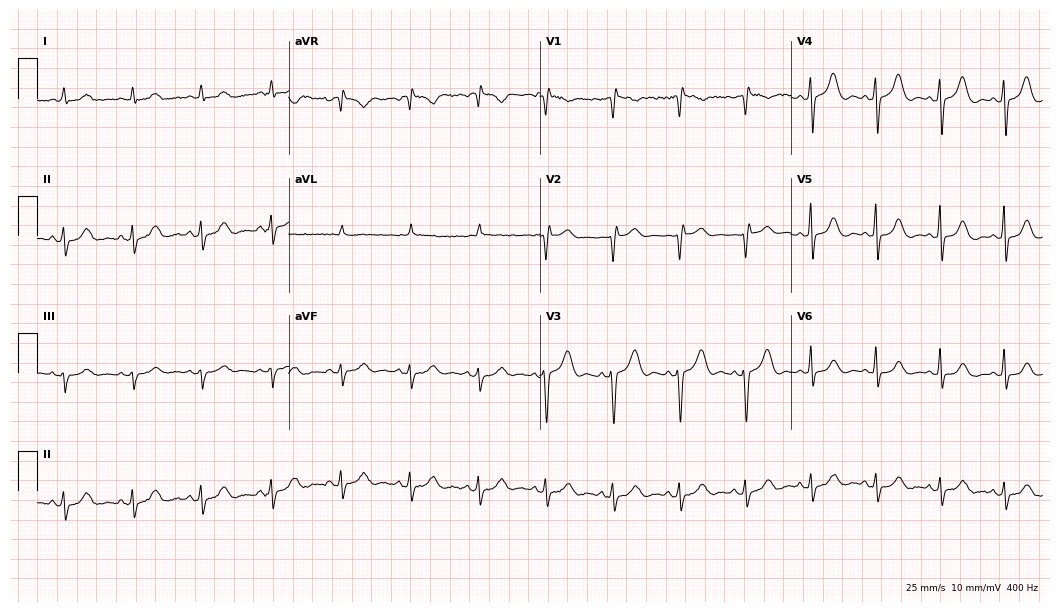
ECG (10.2-second recording at 400 Hz) — a woman, 65 years old. Screened for six findings — first-degree AV block, right bundle branch block, left bundle branch block, sinus bradycardia, atrial fibrillation, sinus tachycardia — none is recorded.